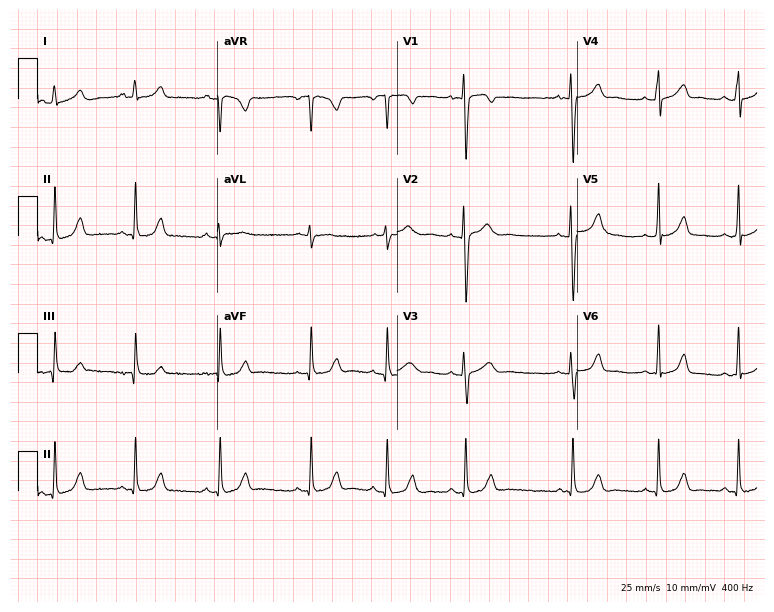
Electrocardiogram (7.3-second recording at 400 Hz), a female patient, 17 years old. Of the six screened findings (first-degree AV block, right bundle branch block, left bundle branch block, sinus bradycardia, atrial fibrillation, sinus tachycardia), none is recorded. Findings outside these six are not listed.